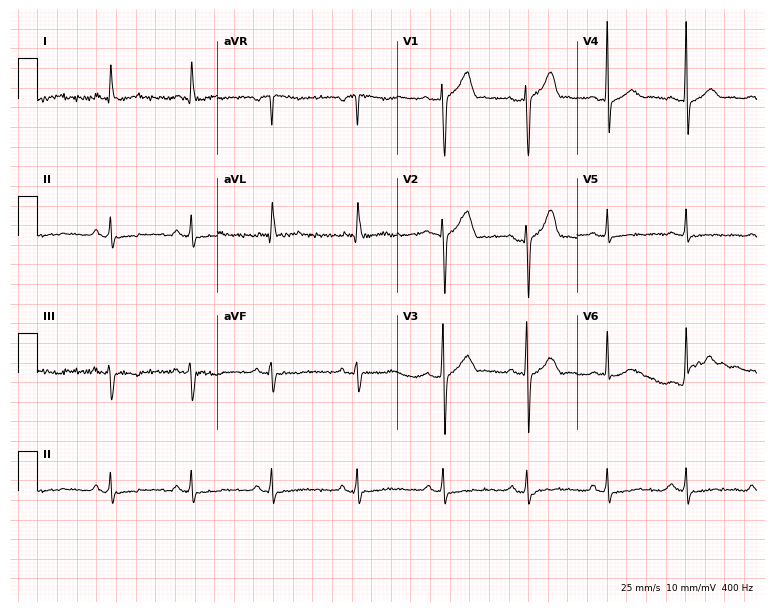
Resting 12-lead electrocardiogram. Patient: a 57-year-old male. None of these six findings is recorded: first-degree AV block, right bundle branch block, left bundle branch block, sinus bradycardia, atrial fibrillation, sinus tachycardia. Only these six findings were labelled.